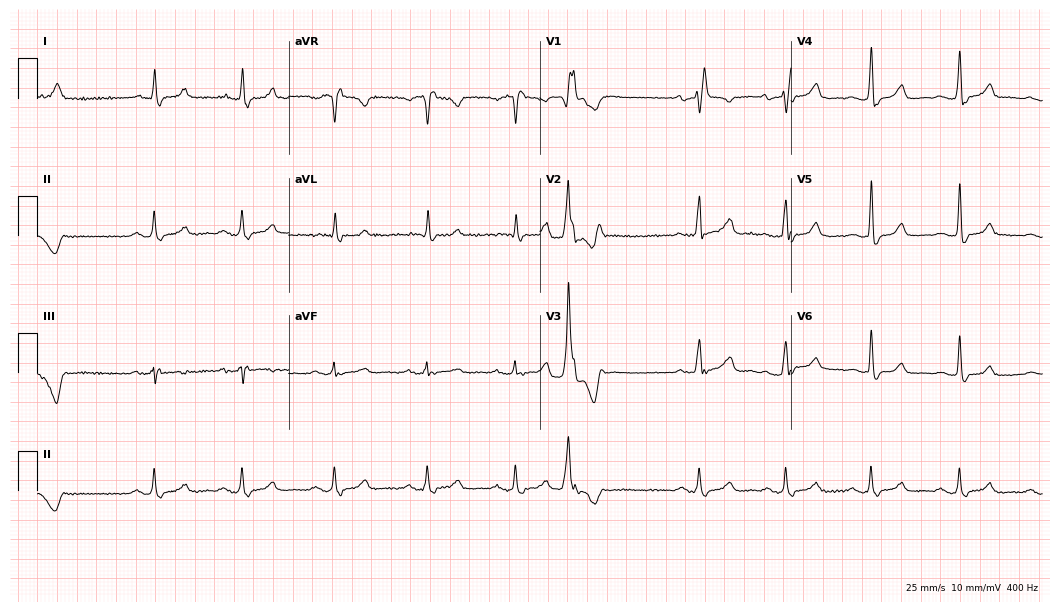
Standard 12-lead ECG recorded from a woman, 74 years old. The tracing shows right bundle branch block.